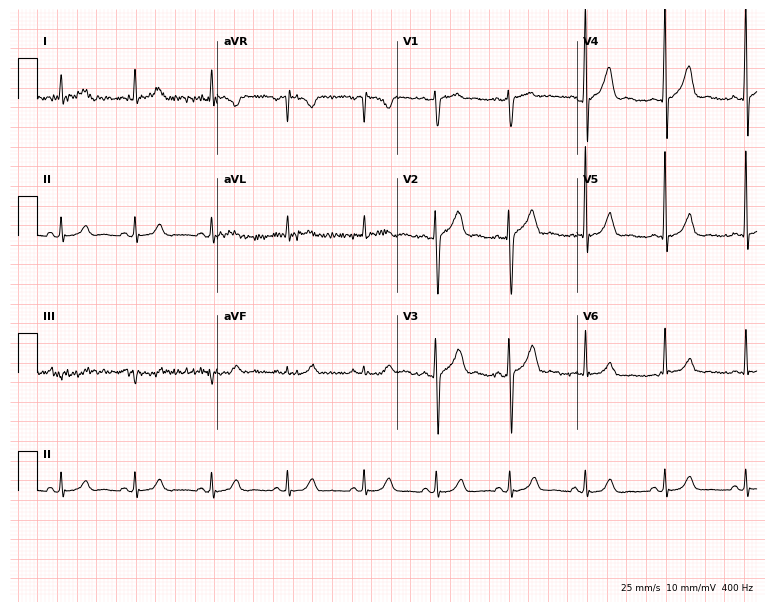
Electrocardiogram, a man, 55 years old. Overall reading on record: normal ECG.